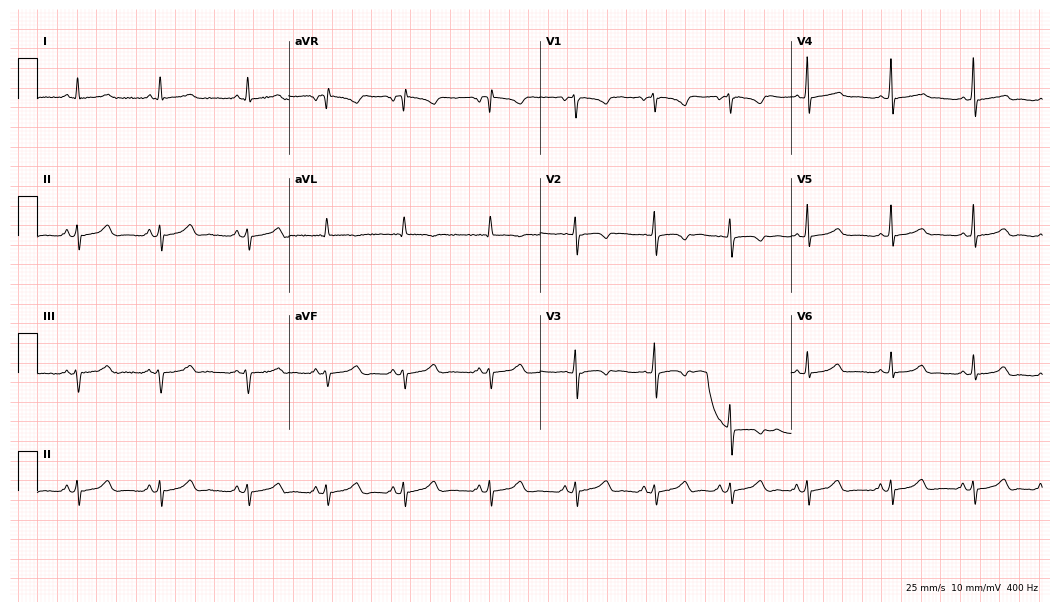
Electrocardiogram (10.2-second recording at 400 Hz), a female patient, 28 years old. Of the six screened findings (first-degree AV block, right bundle branch block (RBBB), left bundle branch block (LBBB), sinus bradycardia, atrial fibrillation (AF), sinus tachycardia), none is recorded. Findings outside these six are not listed.